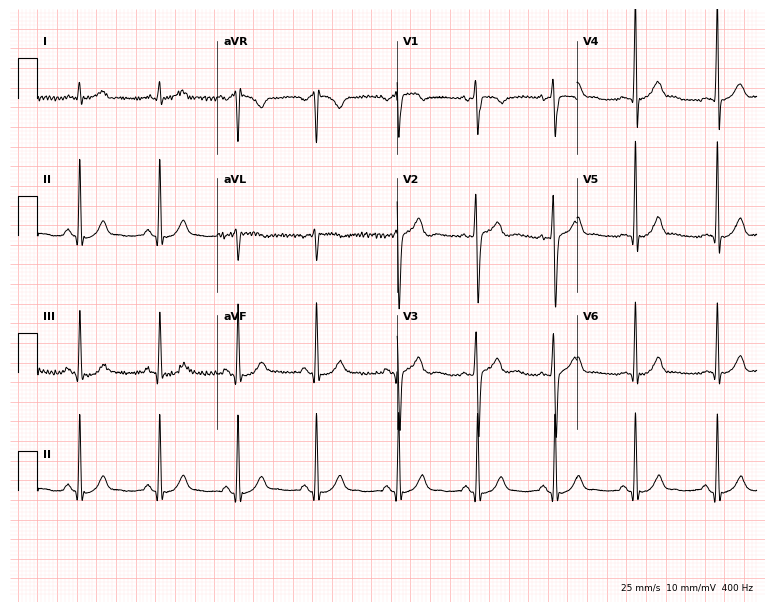
12-lead ECG (7.3-second recording at 400 Hz) from a male patient, 19 years old. Screened for six findings — first-degree AV block, right bundle branch block, left bundle branch block, sinus bradycardia, atrial fibrillation, sinus tachycardia — none is recorded.